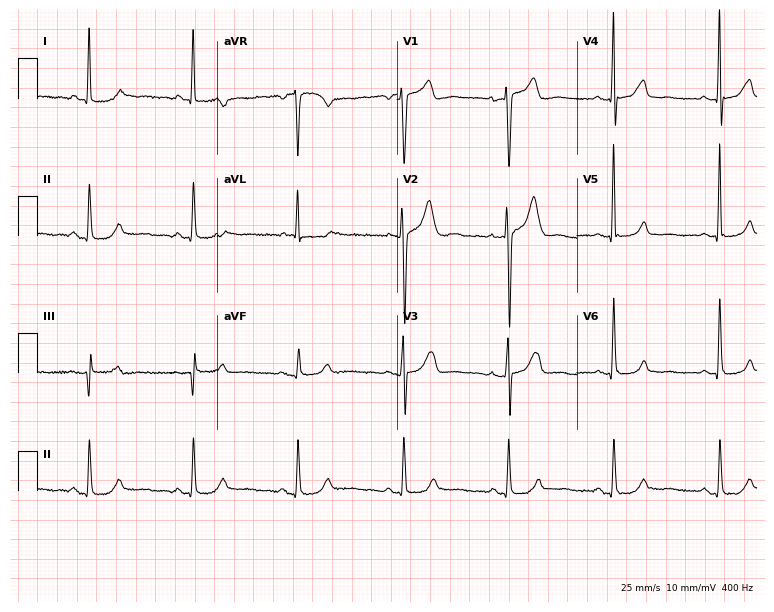
Standard 12-lead ECG recorded from a 46-year-old man (7.3-second recording at 400 Hz). Read as a normal ECG.